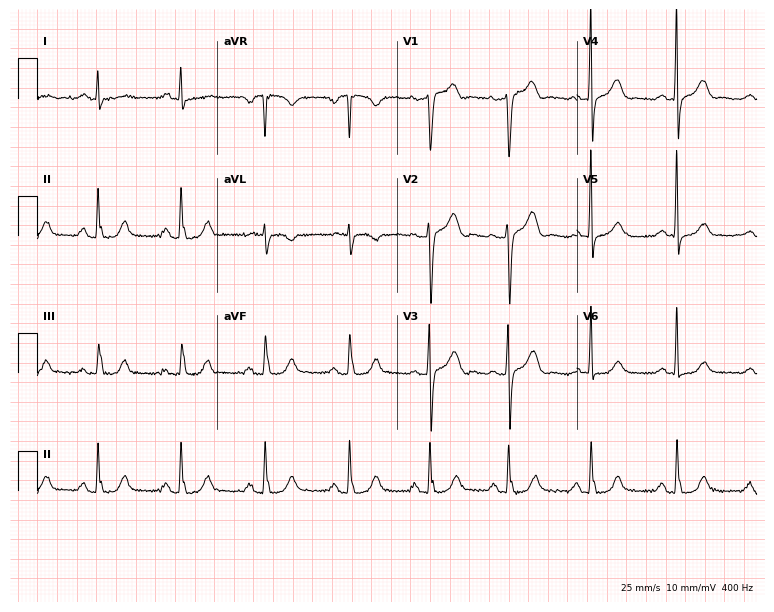
Standard 12-lead ECG recorded from a female, 56 years old. Read as a normal ECG.